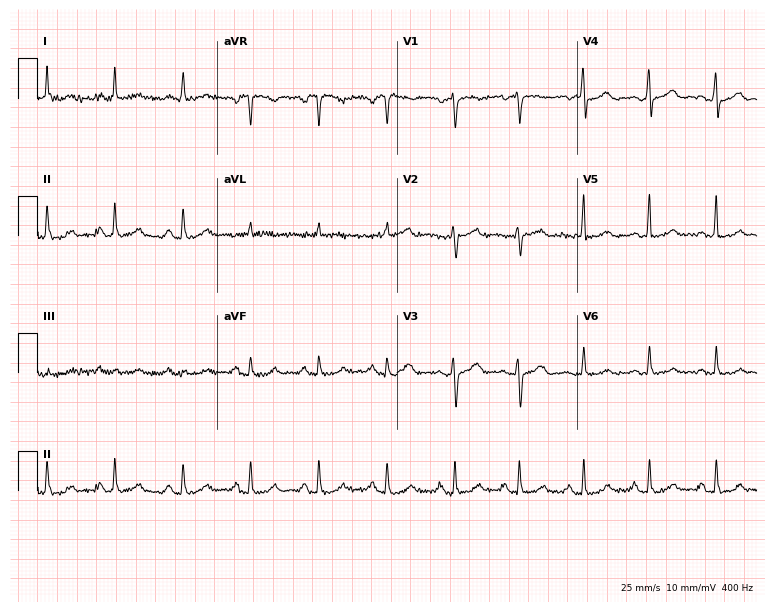
ECG (7.3-second recording at 400 Hz) — a 74-year-old woman. Labelled as a normal ECG.